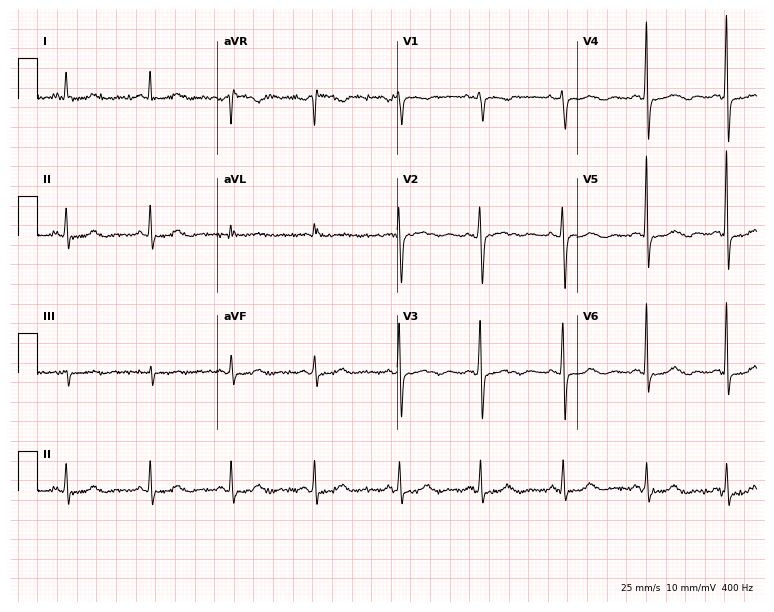
ECG — a woman, 61 years old. Screened for six findings — first-degree AV block, right bundle branch block (RBBB), left bundle branch block (LBBB), sinus bradycardia, atrial fibrillation (AF), sinus tachycardia — none is recorded. Findings outside these six are not listed.